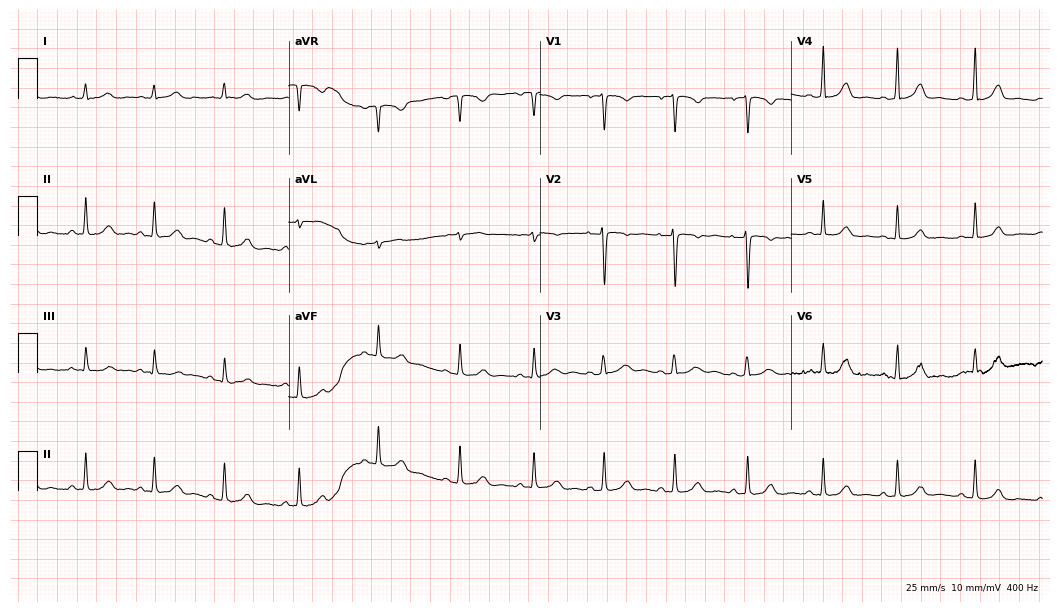
Resting 12-lead electrocardiogram. Patient: a 25-year-old female. Read as a normal ECG.